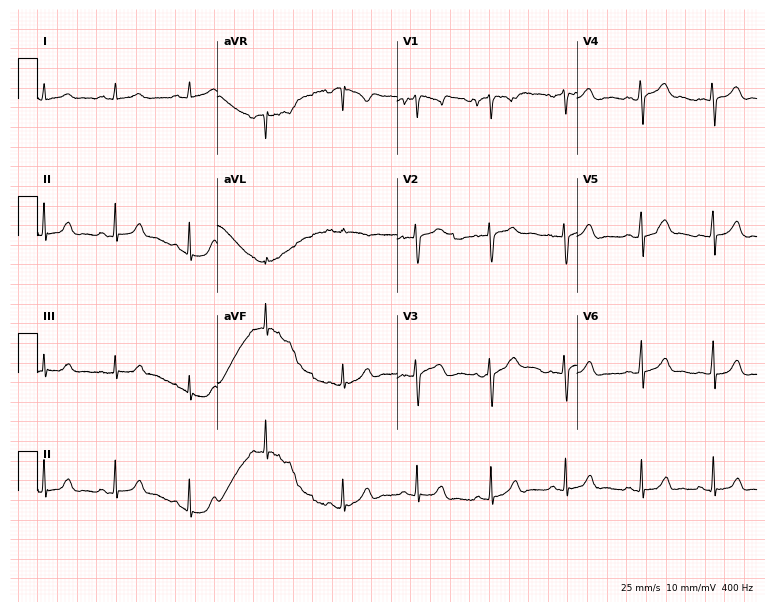
Electrocardiogram, a female, 19 years old. Overall reading on record: normal ECG.